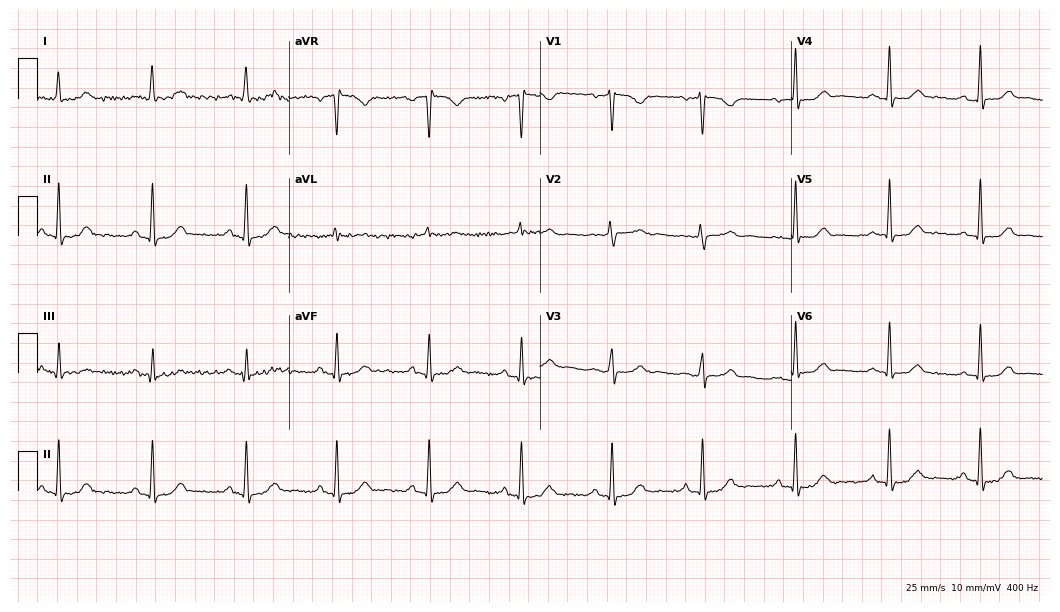
12-lead ECG from a 55-year-old female patient. No first-degree AV block, right bundle branch block, left bundle branch block, sinus bradycardia, atrial fibrillation or sinus tachycardia recorded for this tracing. Other findings, if any, are not listed.